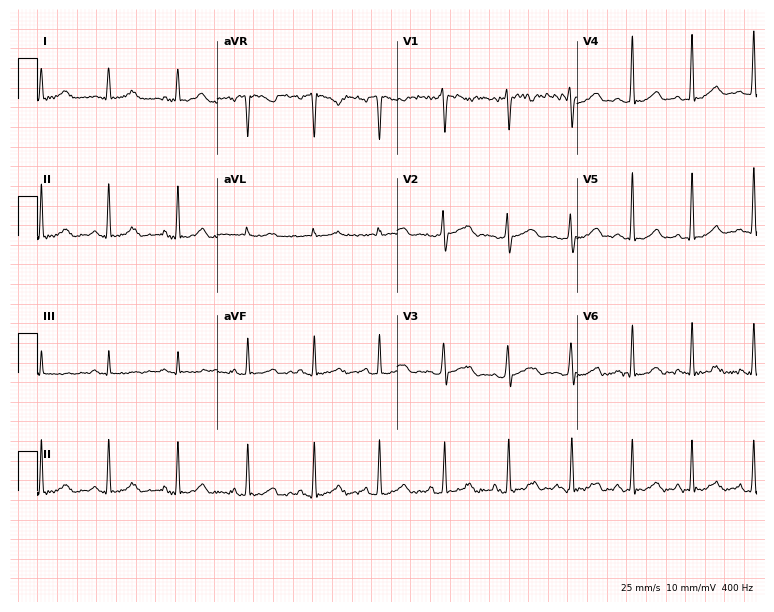
ECG (7.3-second recording at 400 Hz) — a 21-year-old woman. Screened for six findings — first-degree AV block, right bundle branch block, left bundle branch block, sinus bradycardia, atrial fibrillation, sinus tachycardia — none is recorded.